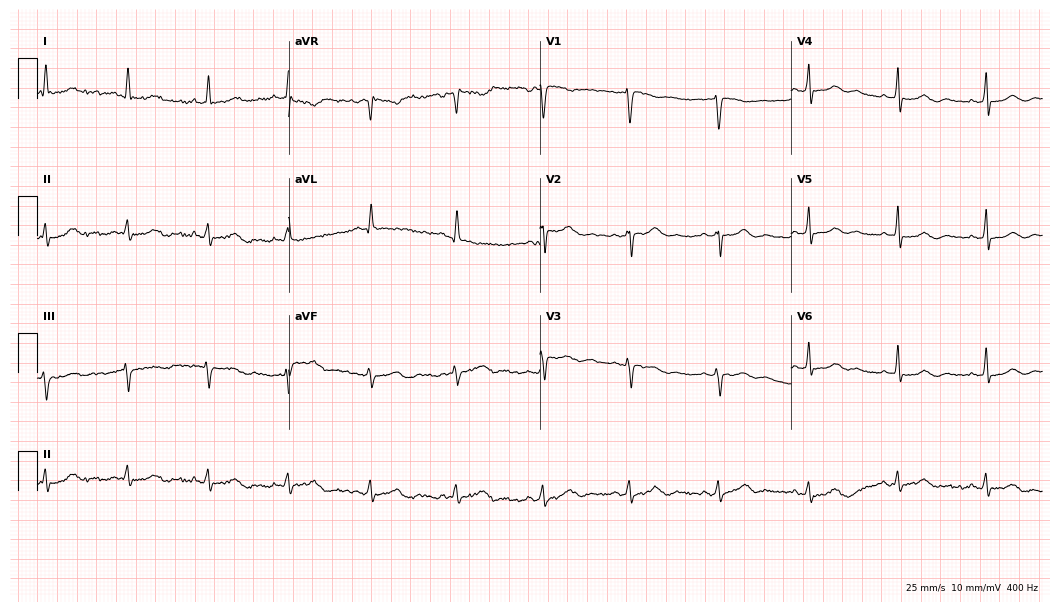
12-lead ECG (10.2-second recording at 400 Hz) from a 35-year-old male patient. Labelled as a normal ECG.